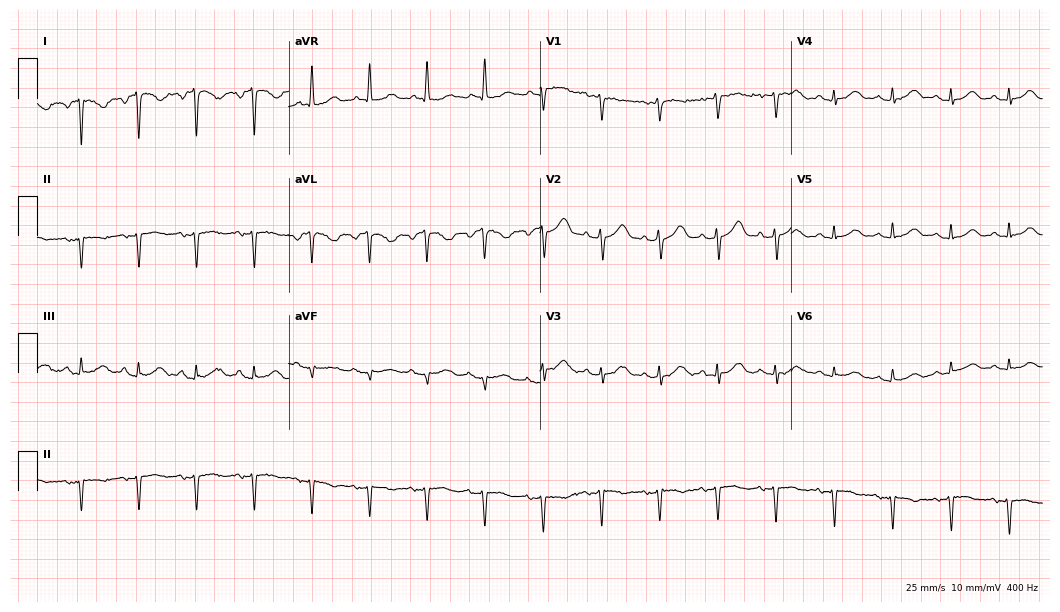
12-lead ECG from a female patient, 75 years old. No first-degree AV block, right bundle branch block (RBBB), left bundle branch block (LBBB), sinus bradycardia, atrial fibrillation (AF) or sinus tachycardia recorded for this tracing. Only these six findings were labelled.